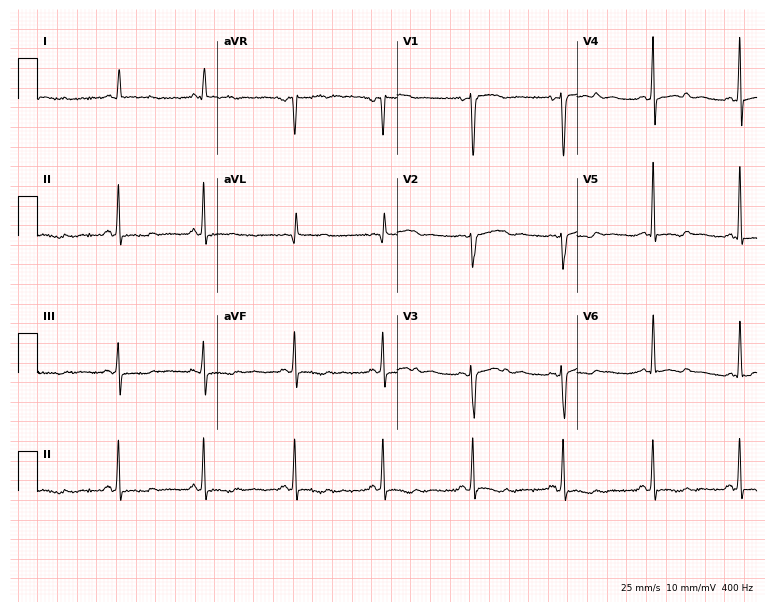
Electrocardiogram, a 60-year-old woman. Of the six screened findings (first-degree AV block, right bundle branch block, left bundle branch block, sinus bradycardia, atrial fibrillation, sinus tachycardia), none is recorded. Only these six findings were labelled.